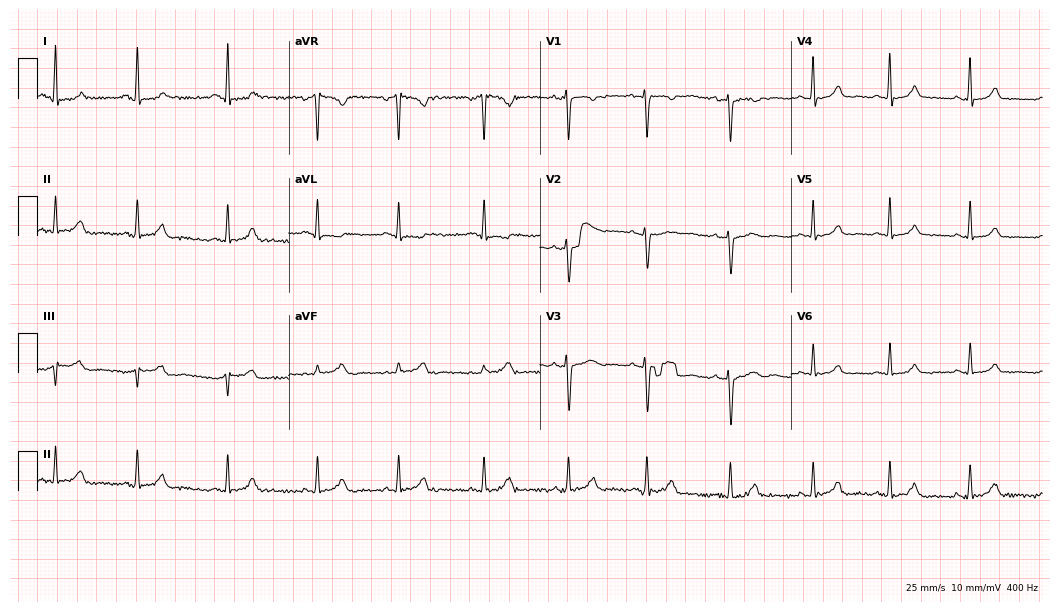
Resting 12-lead electrocardiogram. Patient: a 25-year-old female. Read as a normal ECG.